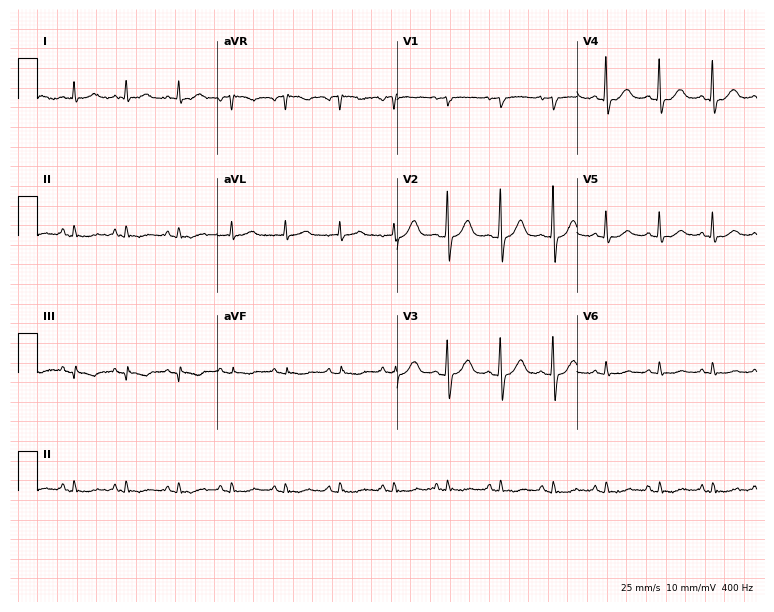
Standard 12-lead ECG recorded from a 71-year-old male. None of these six findings is recorded: first-degree AV block, right bundle branch block (RBBB), left bundle branch block (LBBB), sinus bradycardia, atrial fibrillation (AF), sinus tachycardia. Only these six findings were labelled.